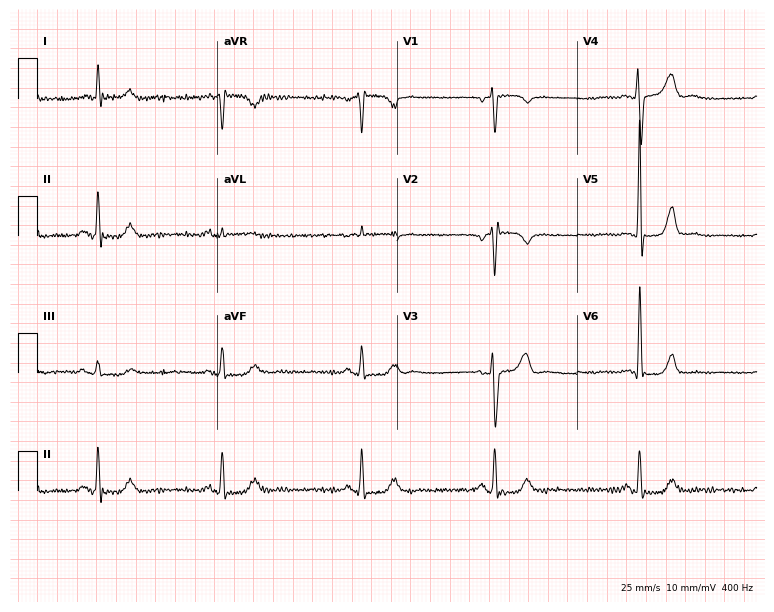
12-lead ECG from an 81-year-old man (7.3-second recording at 400 Hz). Shows sinus bradycardia (a sinus rate of 50 beats per minute or less).